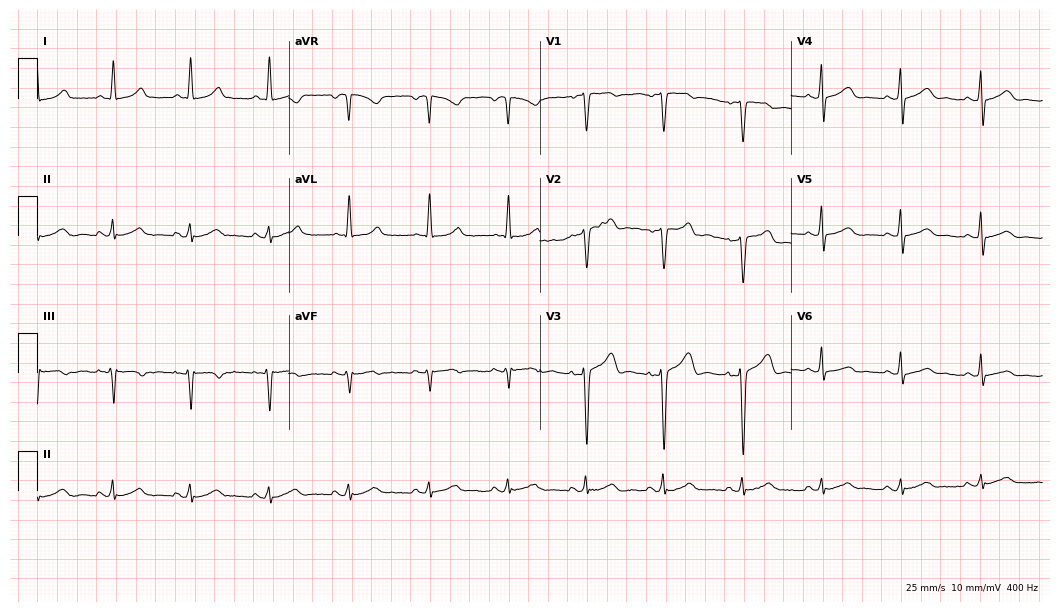
12-lead ECG from a 49-year-old female. Screened for six findings — first-degree AV block, right bundle branch block, left bundle branch block, sinus bradycardia, atrial fibrillation, sinus tachycardia — none is recorded.